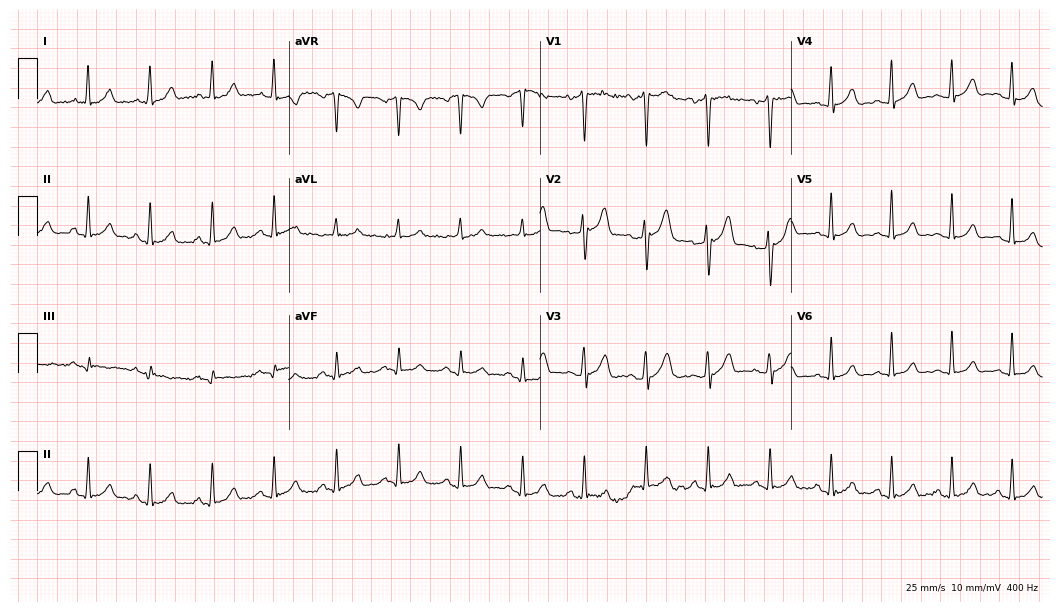
ECG (10.2-second recording at 400 Hz) — a male, 26 years old. Labelled as a normal ECG.